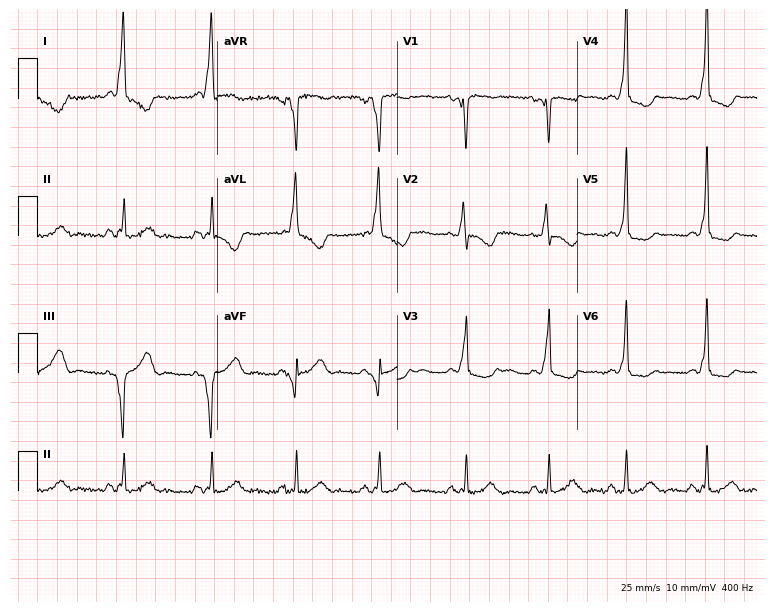
ECG (7.3-second recording at 400 Hz) — a 26-year-old woman. Screened for six findings — first-degree AV block, right bundle branch block, left bundle branch block, sinus bradycardia, atrial fibrillation, sinus tachycardia — none is recorded. Only these six findings were labelled.